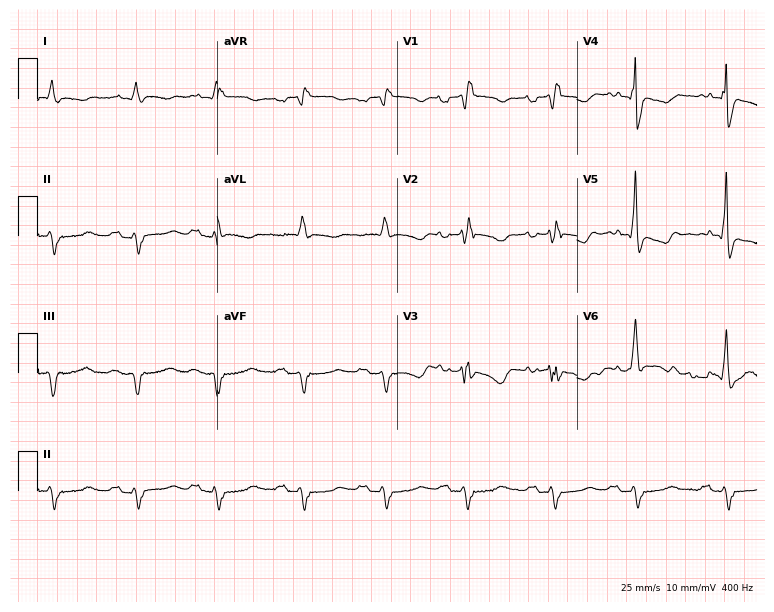
12-lead ECG (7.3-second recording at 400 Hz) from a 71-year-old male. Findings include first-degree AV block, right bundle branch block.